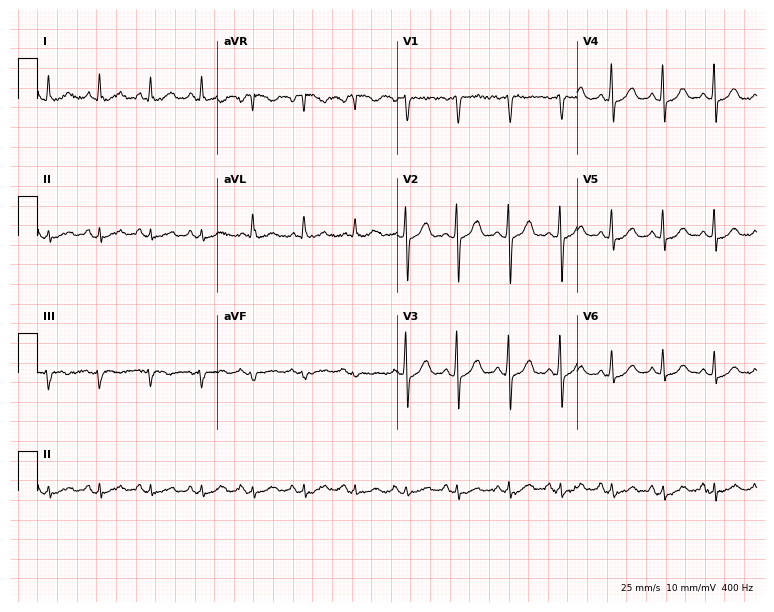
Resting 12-lead electrocardiogram. Patient: an 83-year-old female. The tracing shows sinus tachycardia (a sinus rate of 100 beats per minute or more).